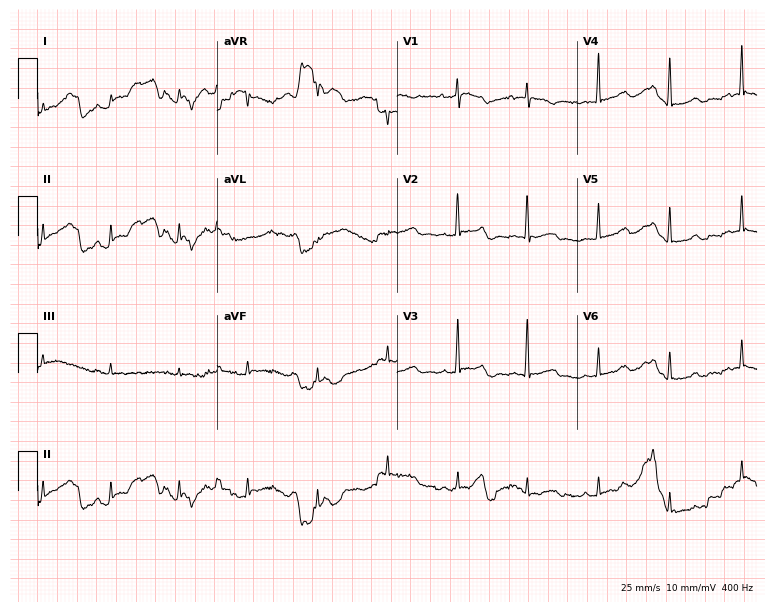
ECG — a female patient, 82 years old. Screened for six findings — first-degree AV block, right bundle branch block, left bundle branch block, sinus bradycardia, atrial fibrillation, sinus tachycardia — none is recorded.